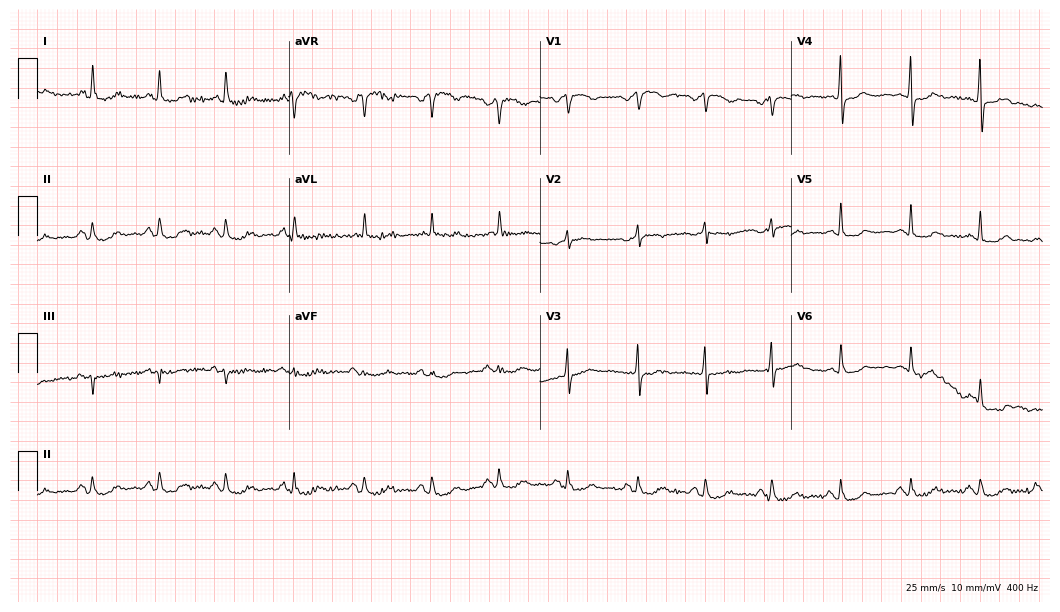
Resting 12-lead electrocardiogram (10.2-second recording at 400 Hz). Patient: a female, 54 years old. None of these six findings is recorded: first-degree AV block, right bundle branch block (RBBB), left bundle branch block (LBBB), sinus bradycardia, atrial fibrillation (AF), sinus tachycardia.